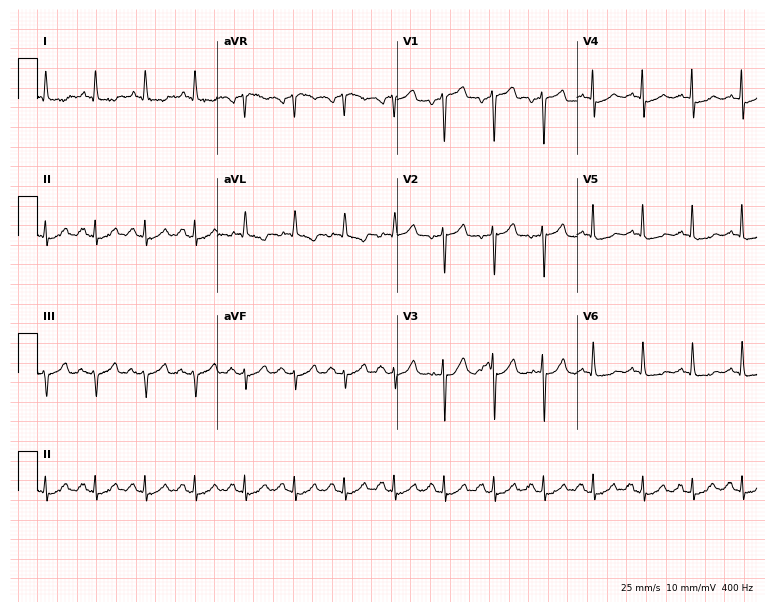
12-lead ECG (7.3-second recording at 400 Hz) from a 57-year-old man. Findings include sinus tachycardia (a sinus rate of 100 beats per minute or more).